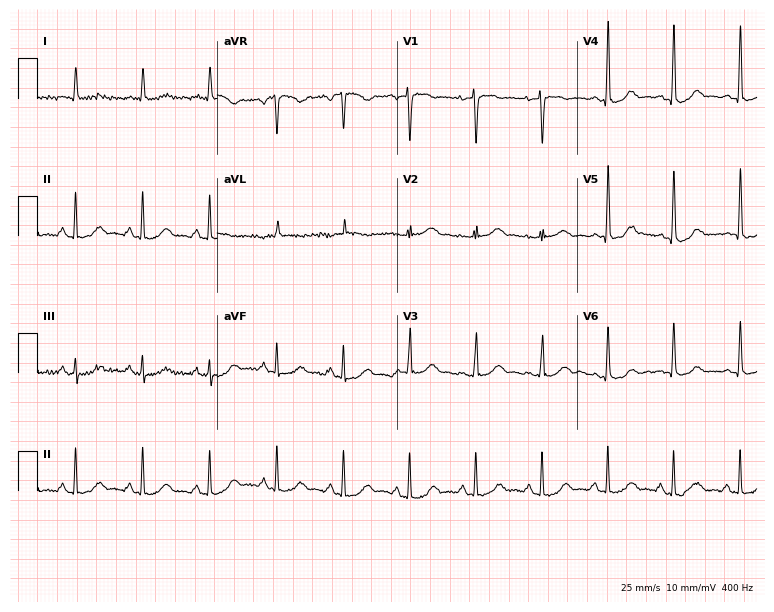
12-lead ECG from a 57-year-old woman (7.3-second recording at 400 Hz). No first-degree AV block, right bundle branch block (RBBB), left bundle branch block (LBBB), sinus bradycardia, atrial fibrillation (AF) or sinus tachycardia recorded for this tracing.